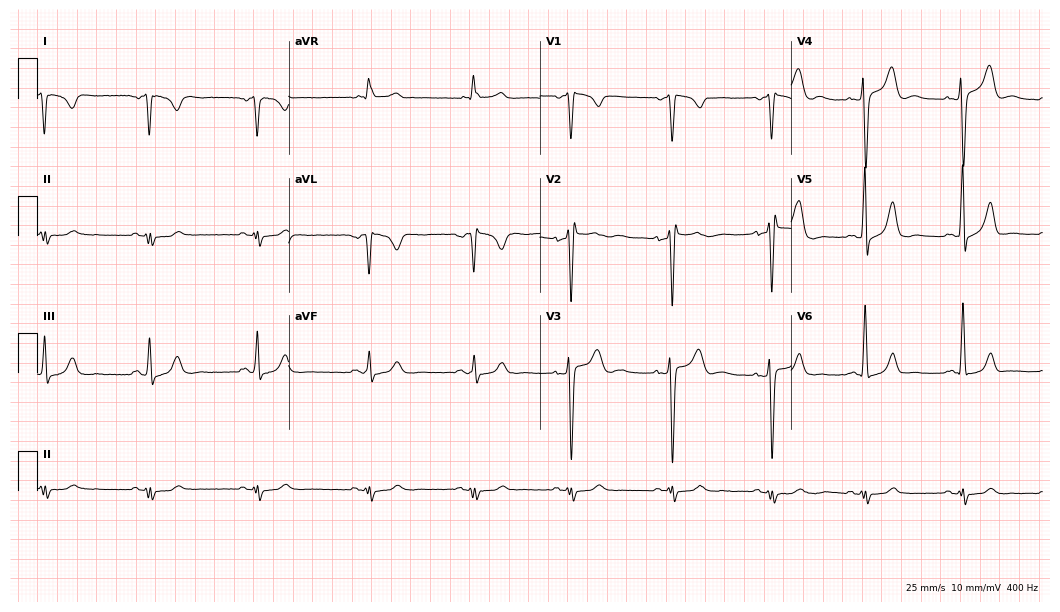
ECG — a male, 61 years old. Screened for six findings — first-degree AV block, right bundle branch block (RBBB), left bundle branch block (LBBB), sinus bradycardia, atrial fibrillation (AF), sinus tachycardia — none is recorded.